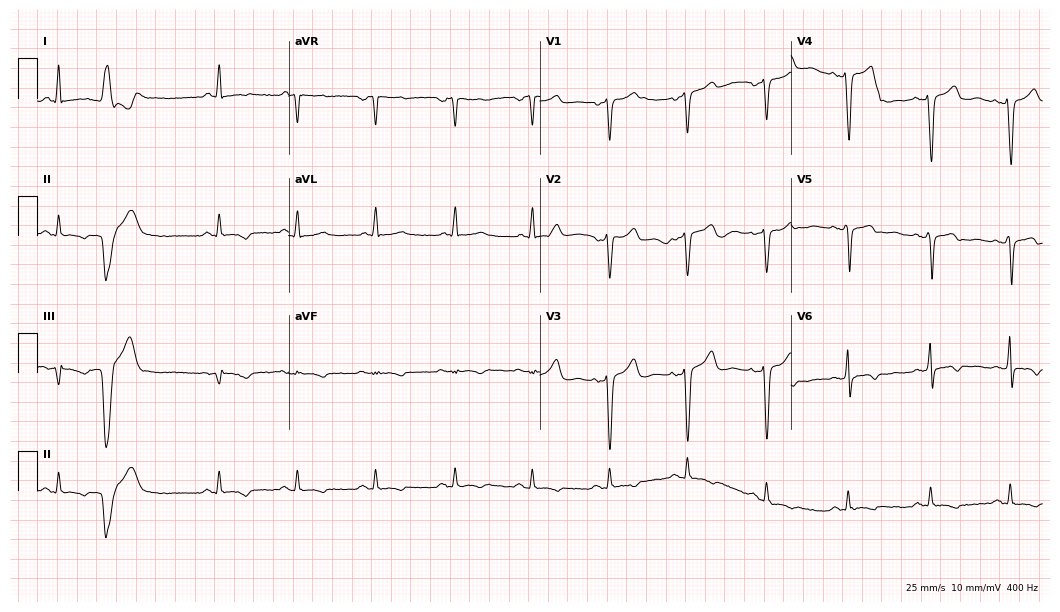
Electrocardiogram, a female patient, 46 years old. Of the six screened findings (first-degree AV block, right bundle branch block, left bundle branch block, sinus bradycardia, atrial fibrillation, sinus tachycardia), none is recorded.